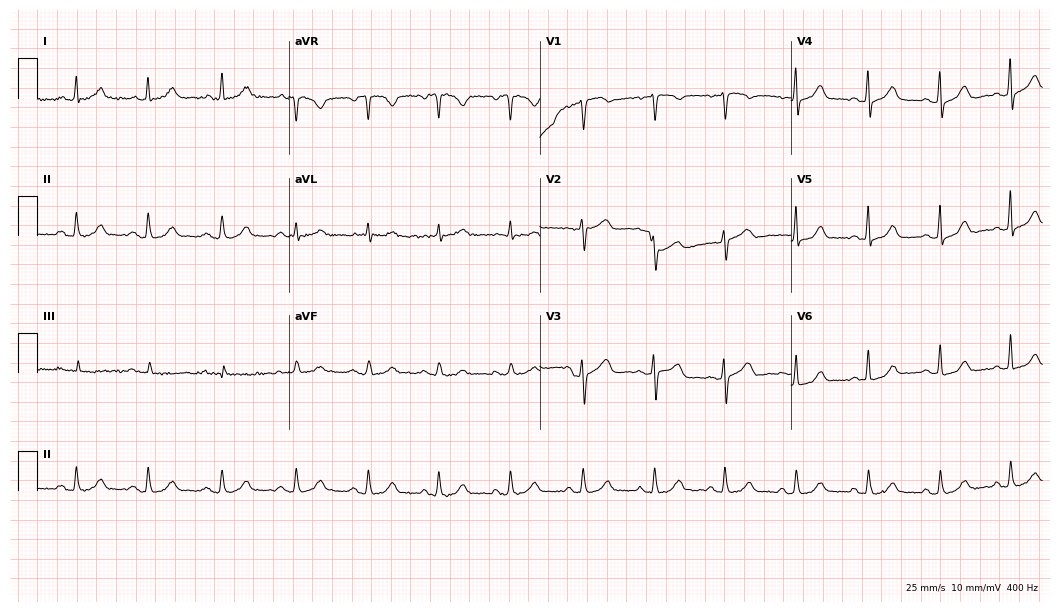
12-lead ECG (10.2-second recording at 400 Hz) from a female, 57 years old. Labelled as a normal ECG.